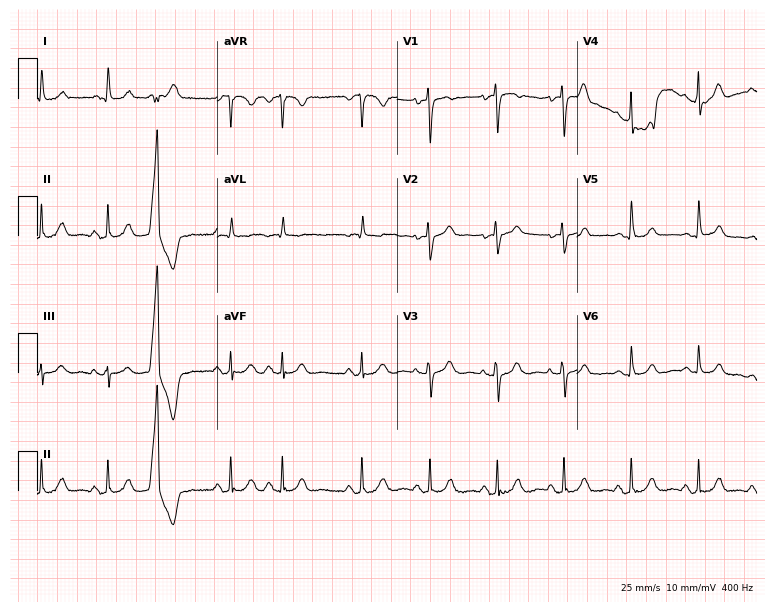
ECG — a 79-year-old woman. Screened for six findings — first-degree AV block, right bundle branch block (RBBB), left bundle branch block (LBBB), sinus bradycardia, atrial fibrillation (AF), sinus tachycardia — none is recorded. Only these six findings were labelled.